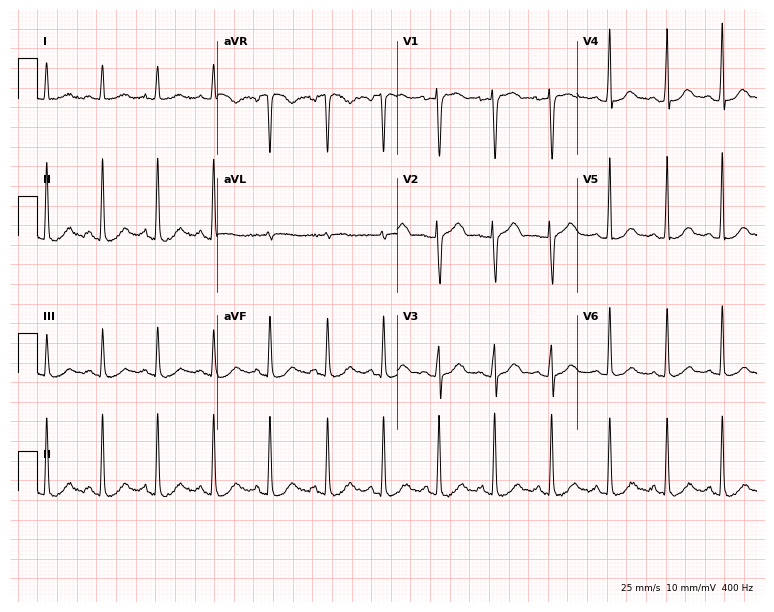
Electrocardiogram (7.3-second recording at 400 Hz), a 21-year-old woman. Interpretation includes sinus tachycardia (a sinus rate of 100 beats per minute or more).